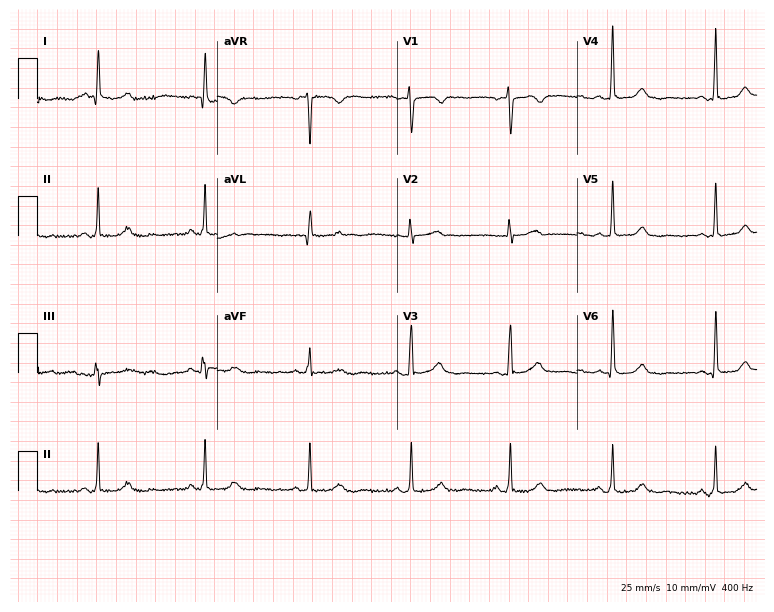
ECG (7.3-second recording at 400 Hz) — a 63-year-old female patient. Screened for six findings — first-degree AV block, right bundle branch block, left bundle branch block, sinus bradycardia, atrial fibrillation, sinus tachycardia — none is recorded.